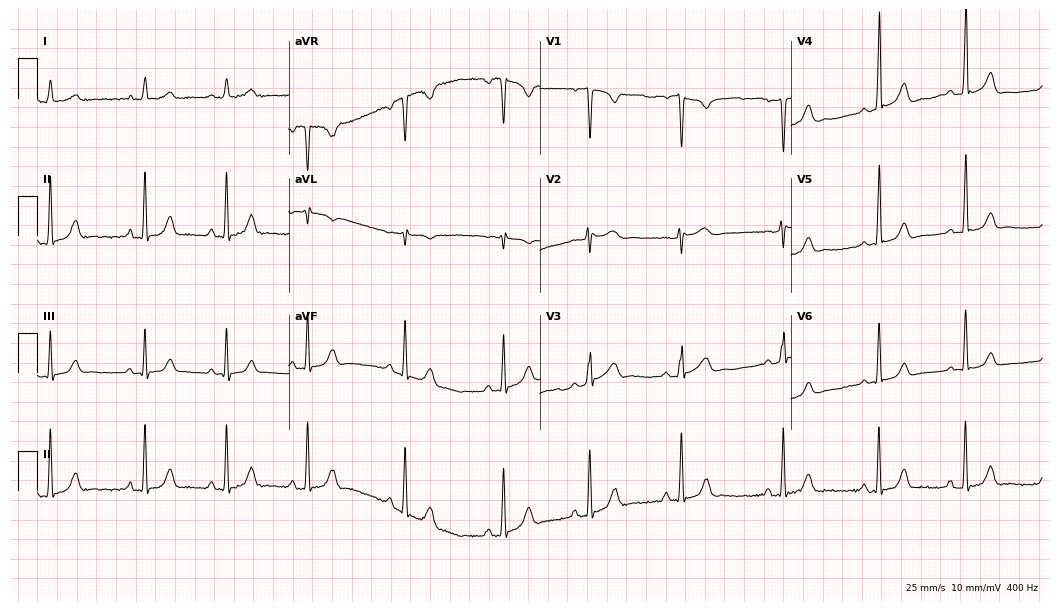
ECG (10.2-second recording at 400 Hz) — a female patient, 22 years old. Labelled as a normal ECG.